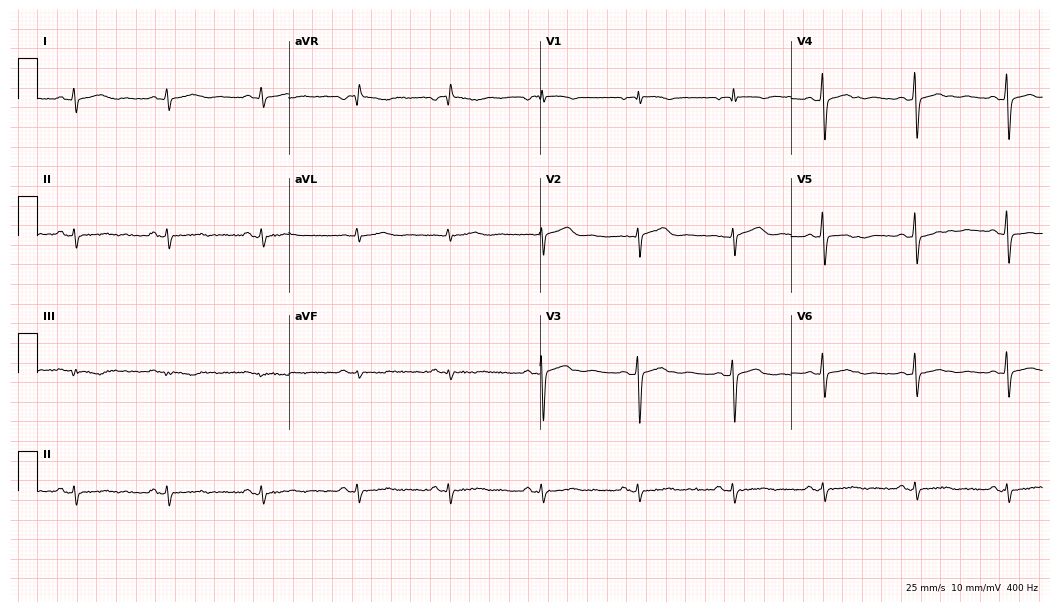
Electrocardiogram, a 56-year-old woman. Of the six screened findings (first-degree AV block, right bundle branch block, left bundle branch block, sinus bradycardia, atrial fibrillation, sinus tachycardia), none is recorded. Only these six findings were labelled.